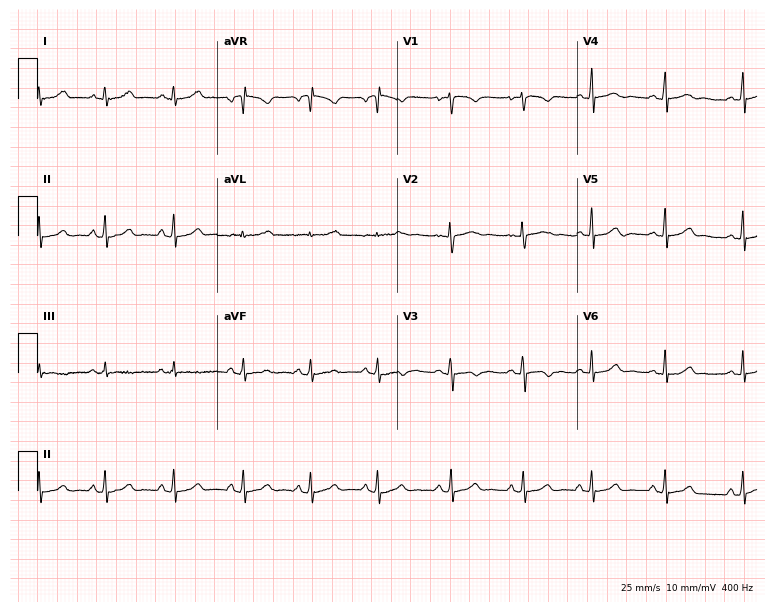
Standard 12-lead ECG recorded from an 18-year-old woman. Read as a normal ECG.